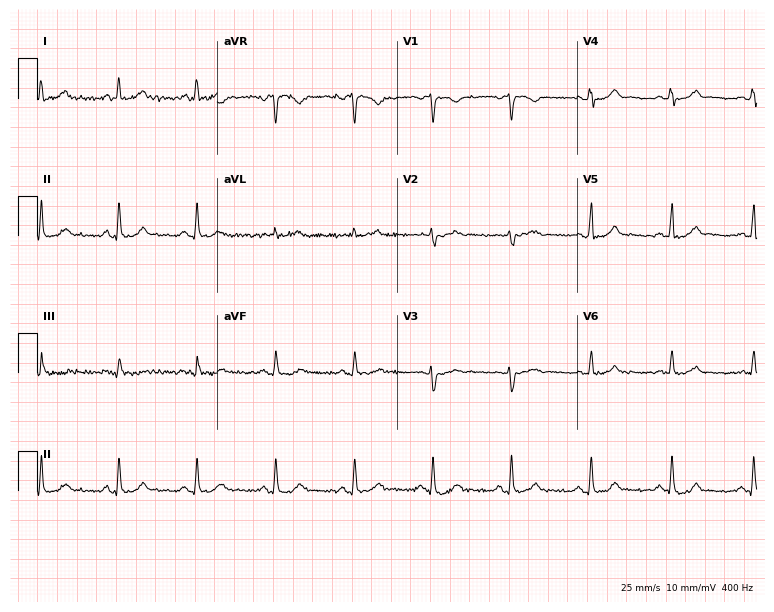
Resting 12-lead electrocardiogram. Patient: a 57-year-old woman. Read as a normal ECG.